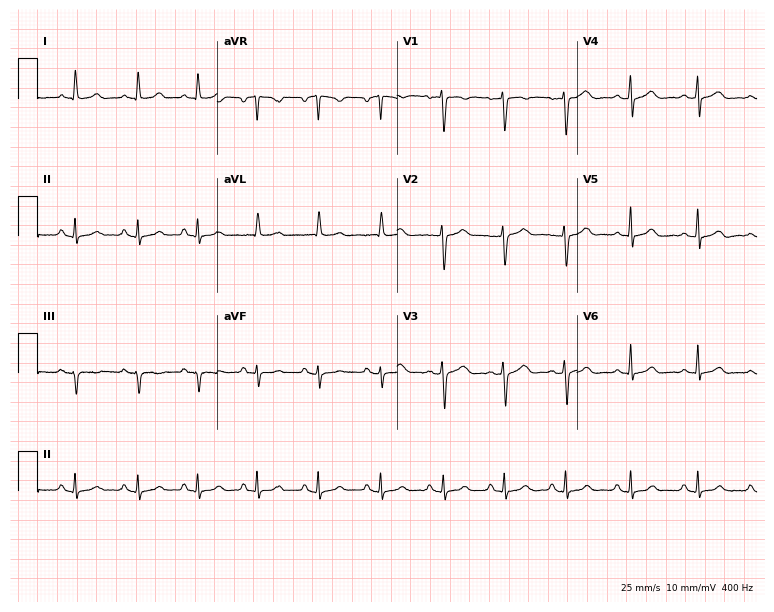
12-lead ECG (7.3-second recording at 400 Hz) from a 38-year-old female patient. Labelled as a normal ECG.